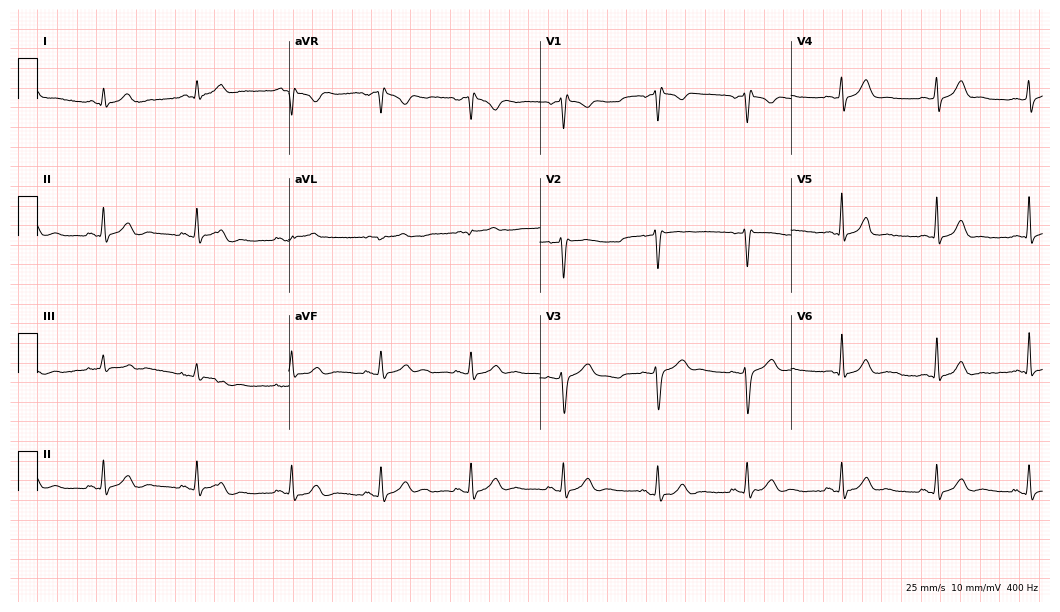
ECG (10.2-second recording at 400 Hz) — a woman, 28 years old. Screened for six findings — first-degree AV block, right bundle branch block (RBBB), left bundle branch block (LBBB), sinus bradycardia, atrial fibrillation (AF), sinus tachycardia — none is recorded. Findings outside these six are not listed.